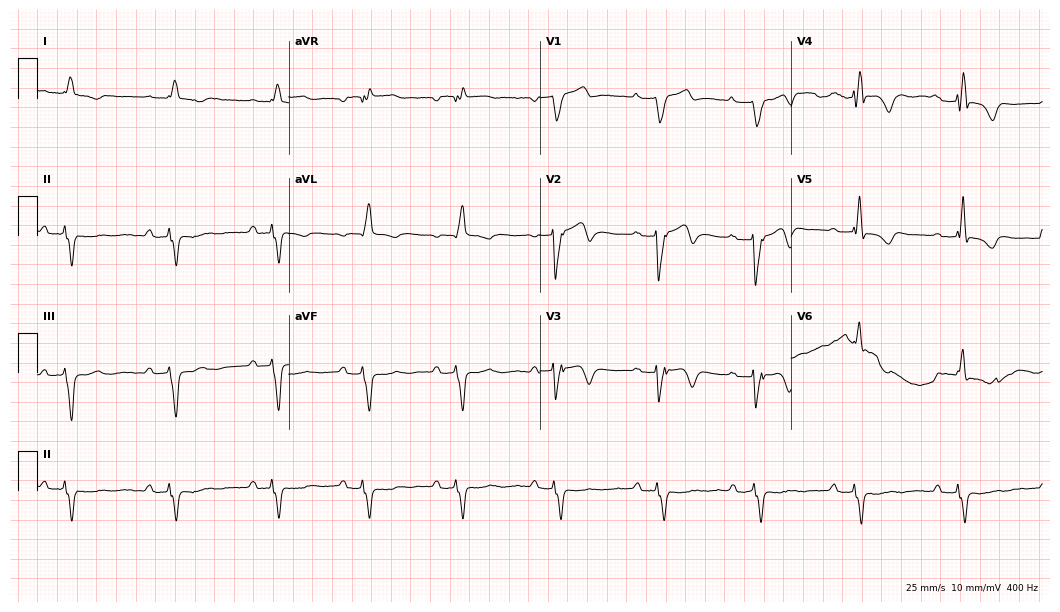
12-lead ECG from a man, 73 years old. Screened for six findings — first-degree AV block, right bundle branch block (RBBB), left bundle branch block (LBBB), sinus bradycardia, atrial fibrillation (AF), sinus tachycardia — none is recorded.